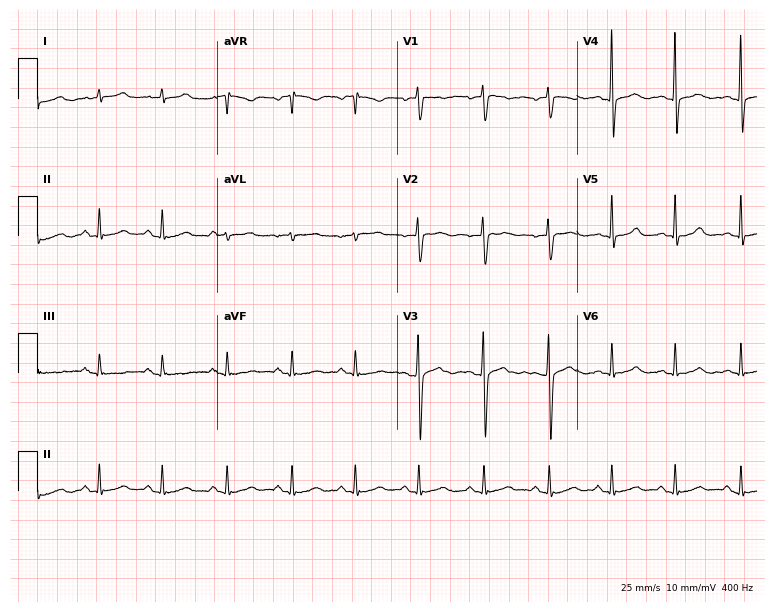
Standard 12-lead ECG recorded from a woman, 30 years old (7.3-second recording at 400 Hz). Read as a normal ECG.